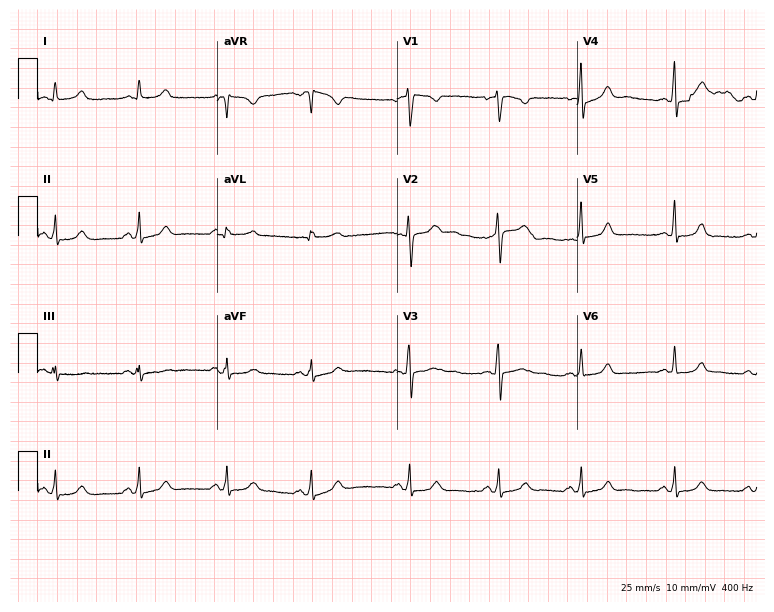
12-lead ECG from a 22-year-old female patient. Recorded interpretation: within normal limits.